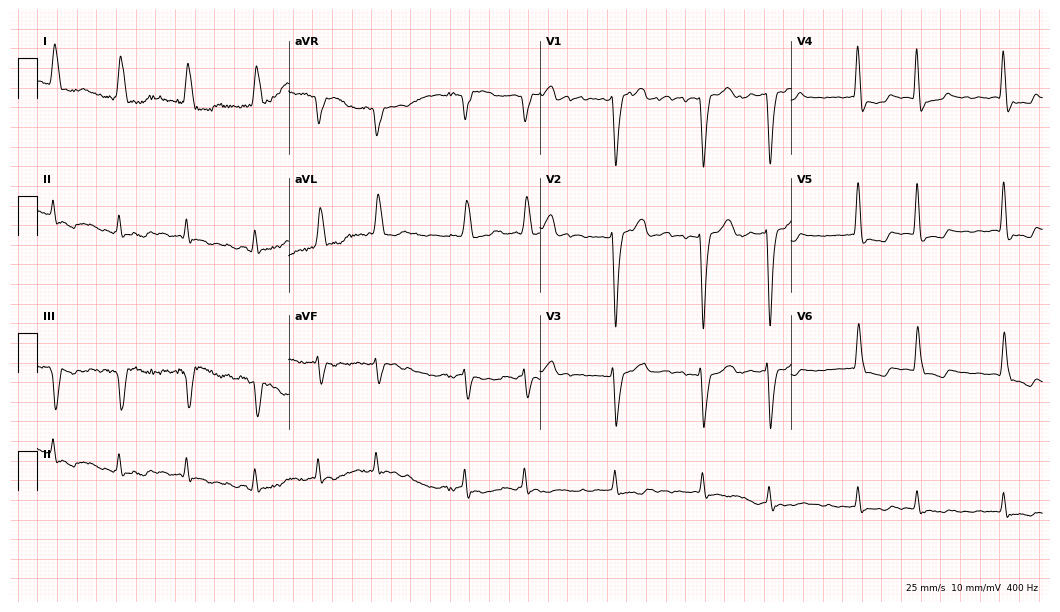
12-lead ECG from a woman, 78 years old. Shows atrial fibrillation (AF).